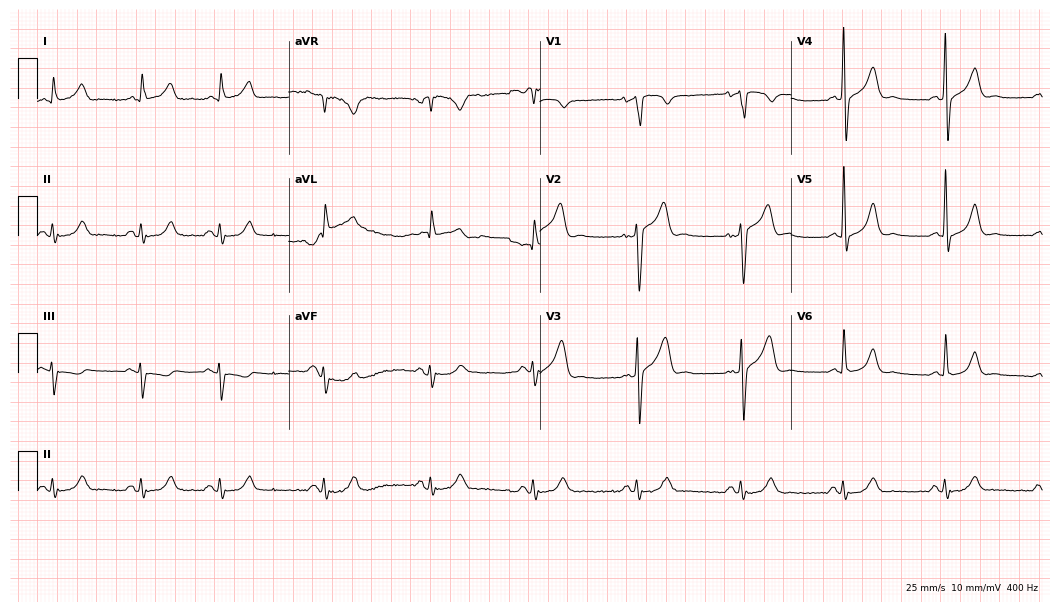
Standard 12-lead ECG recorded from a male patient, 64 years old (10.2-second recording at 400 Hz). None of these six findings is recorded: first-degree AV block, right bundle branch block (RBBB), left bundle branch block (LBBB), sinus bradycardia, atrial fibrillation (AF), sinus tachycardia.